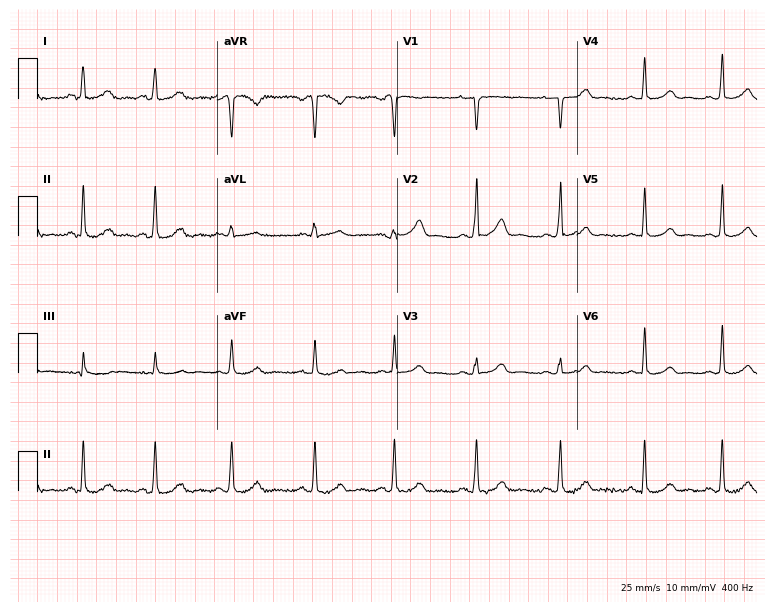
12-lead ECG from a woman, 28 years old (7.3-second recording at 400 Hz). Recorded interpretation: within normal limits.